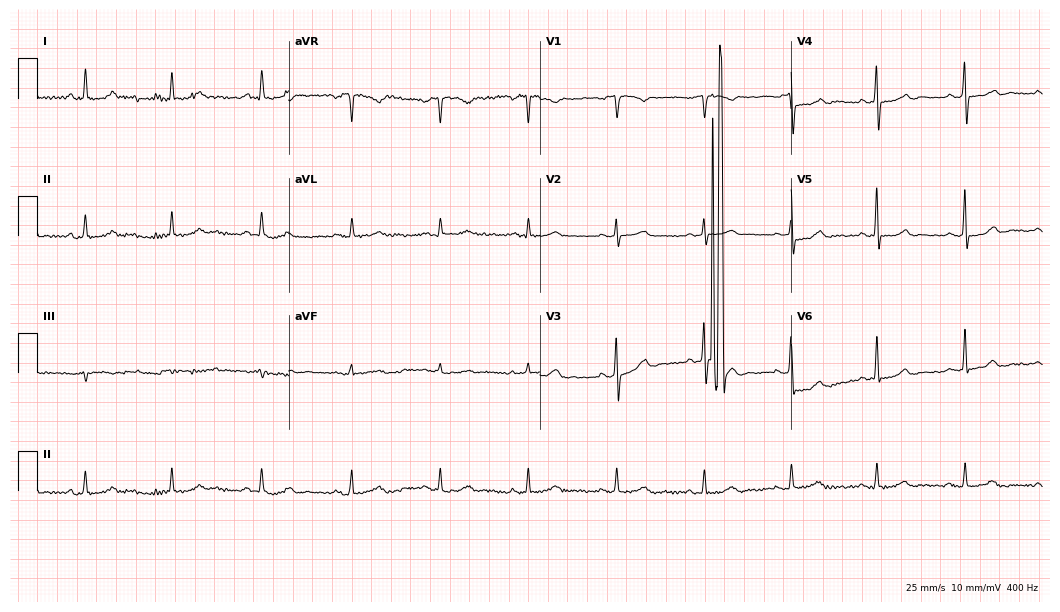
12-lead ECG from a man, 80 years old. Screened for six findings — first-degree AV block, right bundle branch block, left bundle branch block, sinus bradycardia, atrial fibrillation, sinus tachycardia — none is recorded.